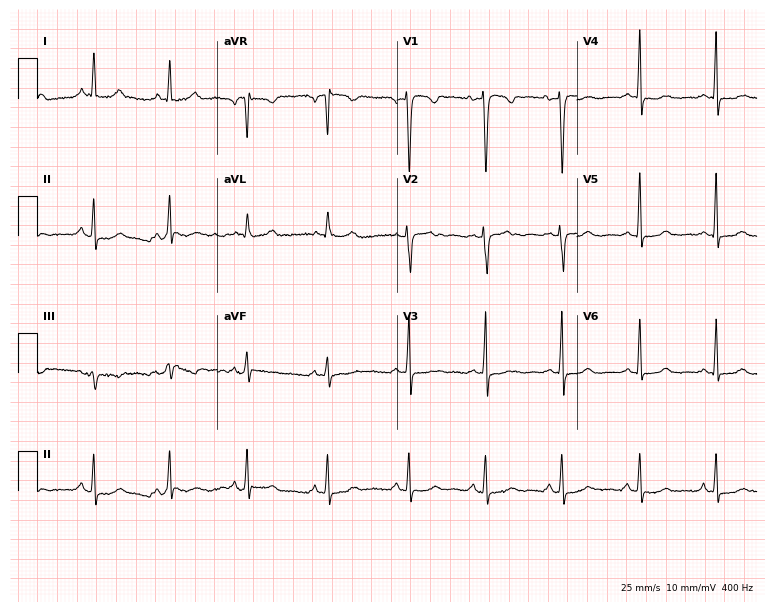
Resting 12-lead electrocardiogram. Patient: a woman, 45 years old. None of these six findings is recorded: first-degree AV block, right bundle branch block (RBBB), left bundle branch block (LBBB), sinus bradycardia, atrial fibrillation (AF), sinus tachycardia. Other findings, if any, are not listed.